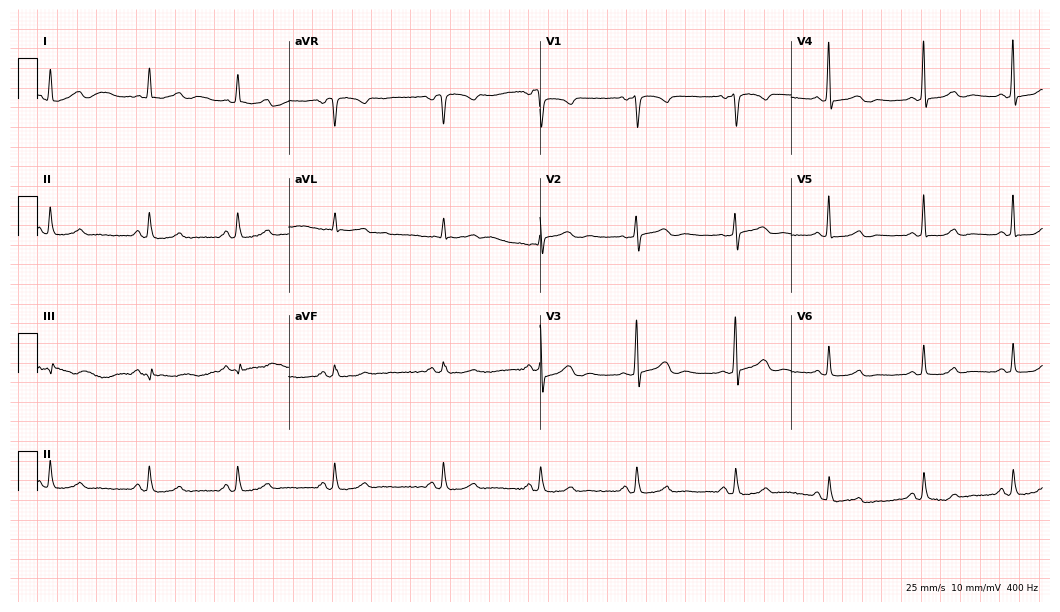
12-lead ECG from a female patient, 48 years old. Recorded interpretation: within normal limits.